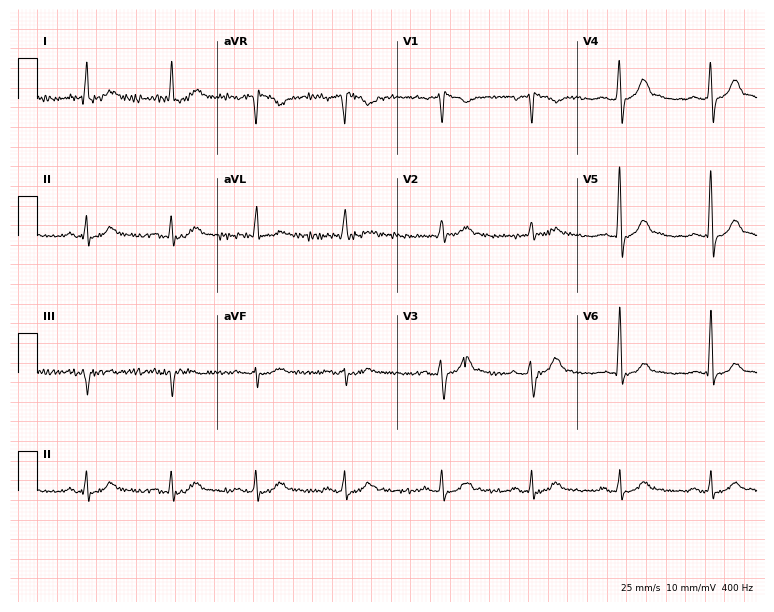
12-lead ECG from a 78-year-old male. Screened for six findings — first-degree AV block, right bundle branch block (RBBB), left bundle branch block (LBBB), sinus bradycardia, atrial fibrillation (AF), sinus tachycardia — none is recorded. Only these six findings were labelled.